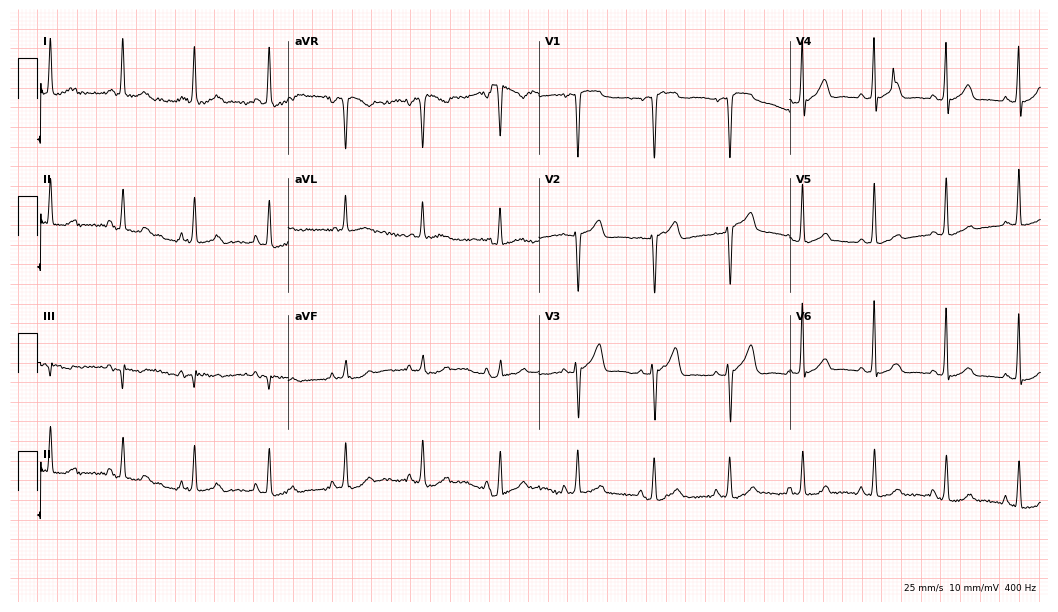
12-lead ECG (10.2-second recording at 400 Hz) from a woman, 79 years old. Labelled as a normal ECG.